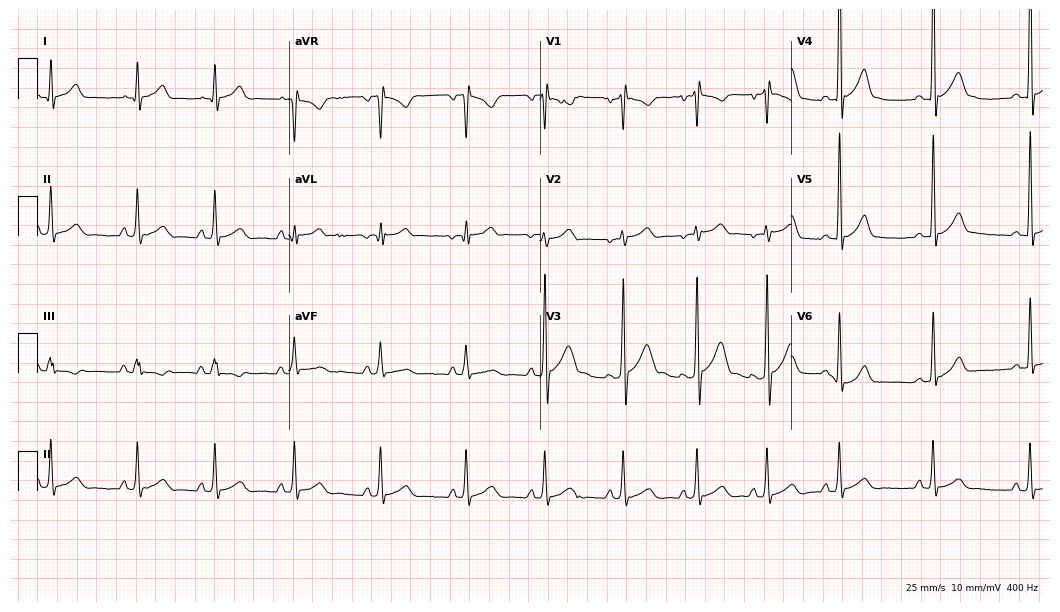
ECG — an 18-year-old male. Labelled as a normal ECG.